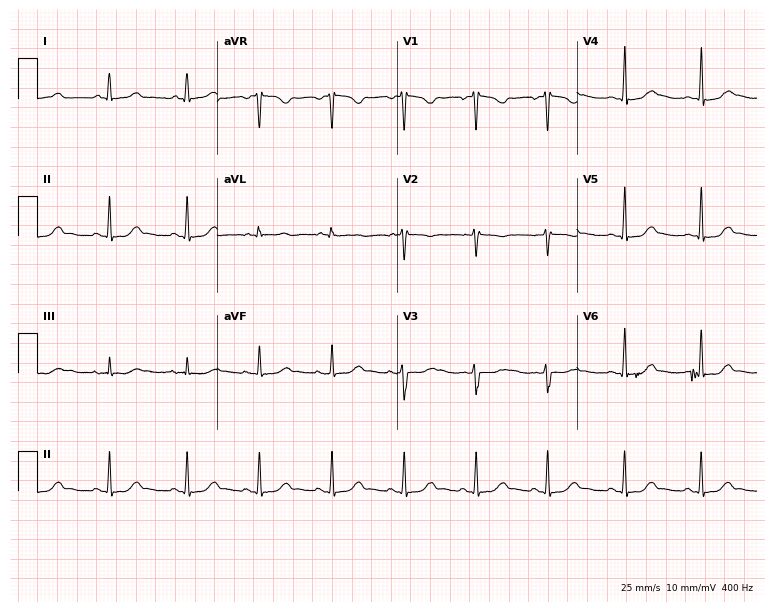
12-lead ECG (7.3-second recording at 400 Hz) from a female patient, 19 years old. Labelled as a normal ECG.